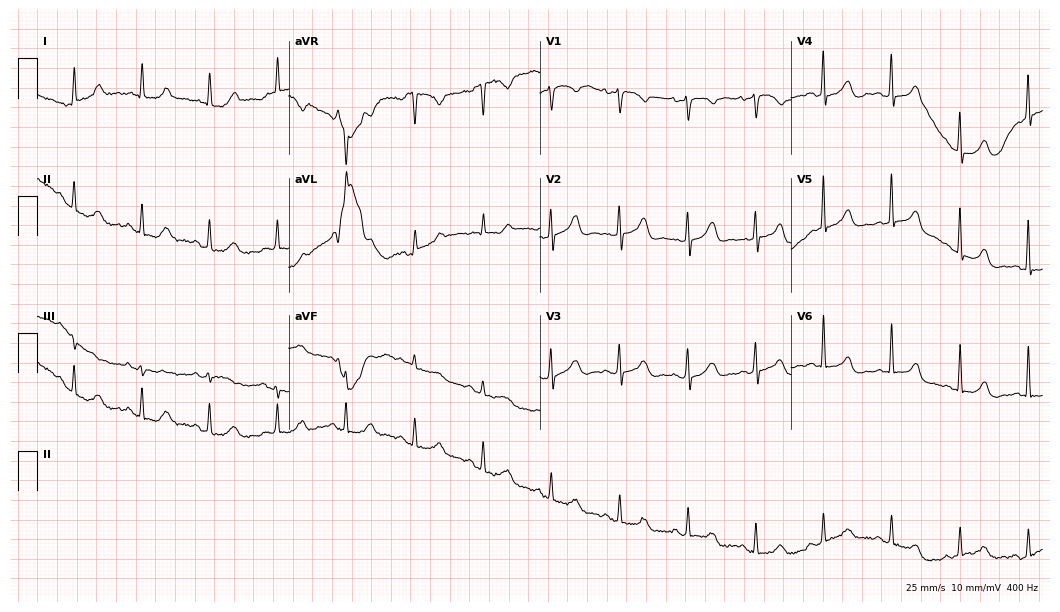
12-lead ECG (10.2-second recording at 400 Hz) from a woman, 76 years old. Labelled as a normal ECG.